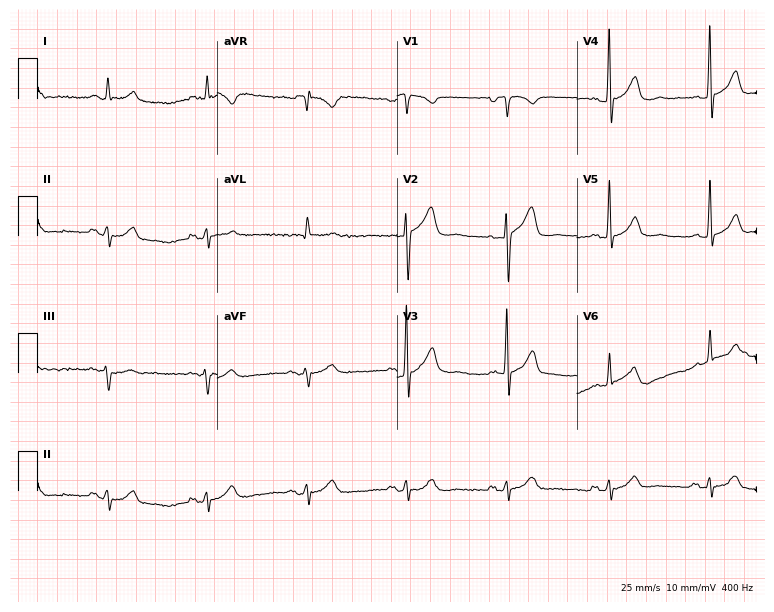
ECG — a male patient, 76 years old. Screened for six findings — first-degree AV block, right bundle branch block (RBBB), left bundle branch block (LBBB), sinus bradycardia, atrial fibrillation (AF), sinus tachycardia — none is recorded.